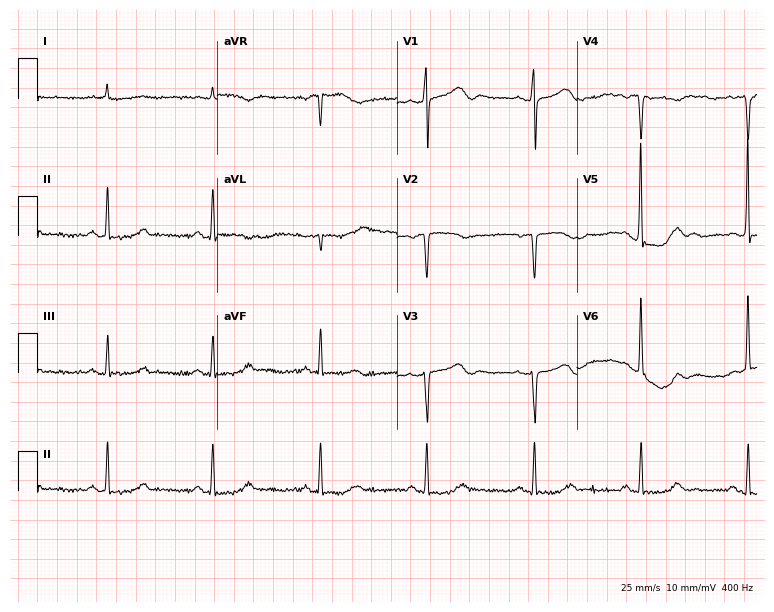
12-lead ECG (7.3-second recording at 400 Hz) from a man, 77 years old. Screened for six findings — first-degree AV block, right bundle branch block, left bundle branch block, sinus bradycardia, atrial fibrillation, sinus tachycardia — none is recorded. Only these six findings were labelled.